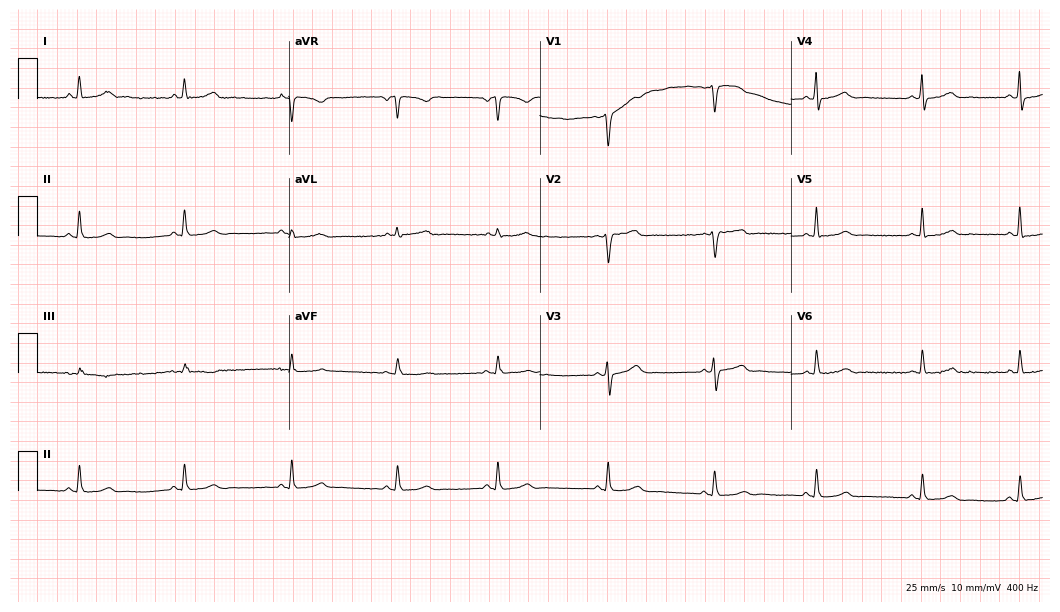
12-lead ECG (10.2-second recording at 400 Hz) from a 44-year-old female. Screened for six findings — first-degree AV block, right bundle branch block, left bundle branch block, sinus bradycardia, atrial fibrillation, sinus tachycardia — none is recorded.